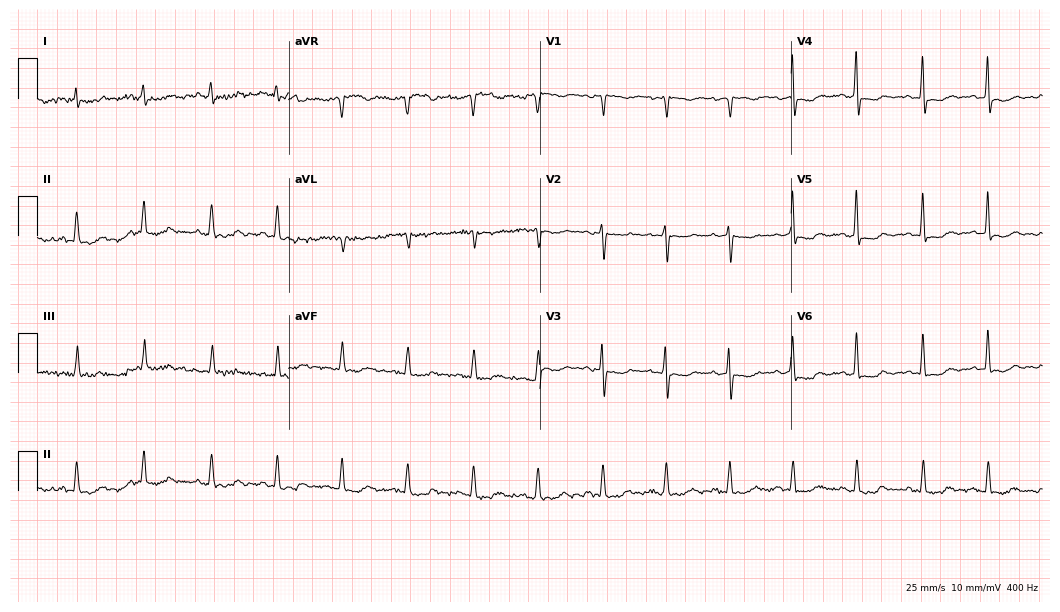
12-lead ECG from a woman, 57 years old. No first-degree AV block, right bundle branch block, left bundle branch block, sinus bradycardia, atrial fibrillation or sinus tachycardia recorded for this tracing.